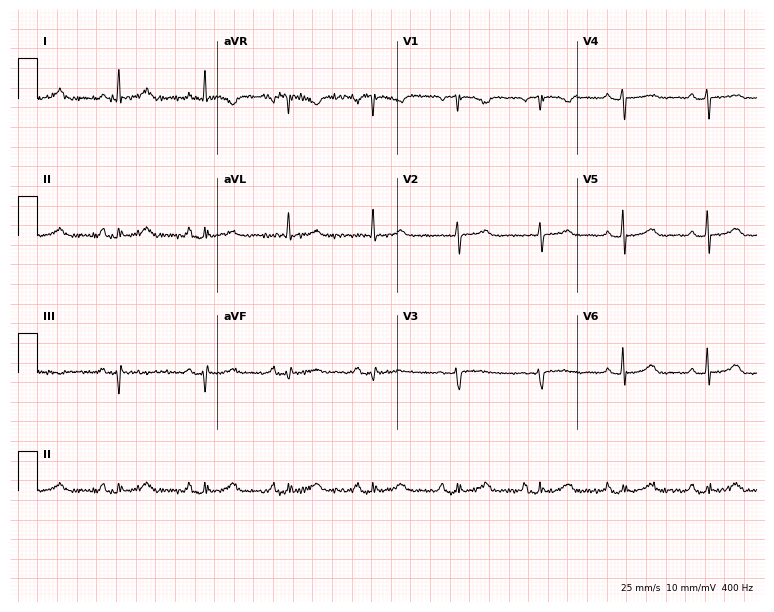
Resting 12-lead electrocardiogram (7.3-second recording at 400 Hz). Patient: an 84-year-old female. None of these six findings is recorded: first-degree AV block, right bundle branch block, left bundle branch block, sinus bradycardia, atrial fibrillation, sinus tachycardia.